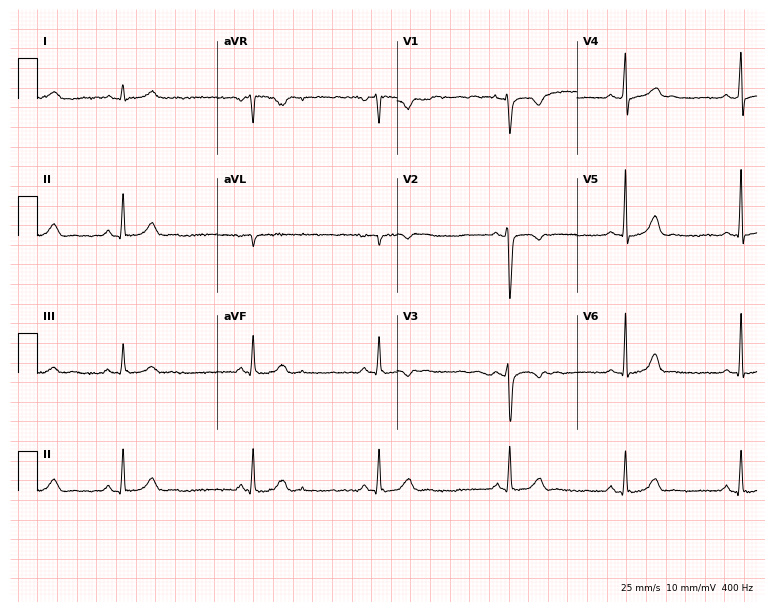
12-lead ECG (7.3-second recording at 400 Hz) from a female, 27 years old. Findings include sinus bradycardia (a sinus rate of 50 beats per minute or less).